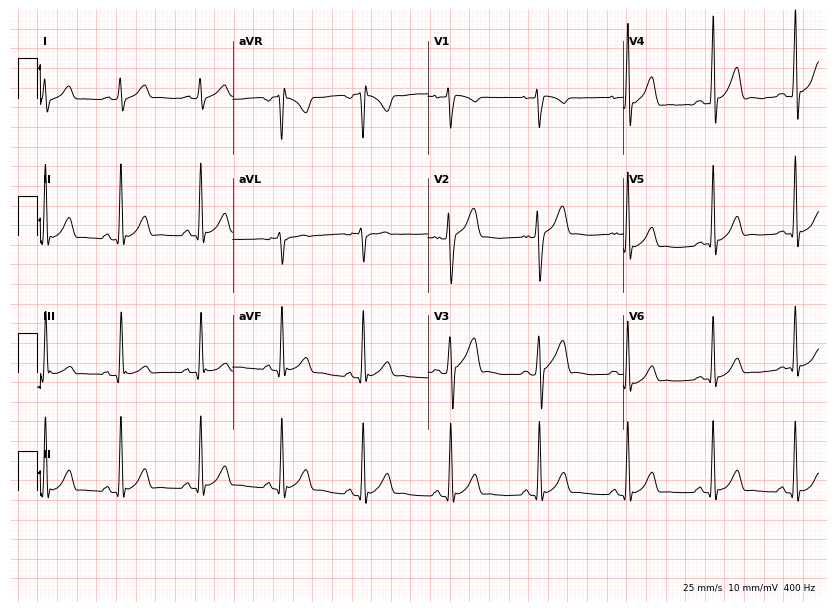
12-lead ECG from a male patient, 24 years old. Recorded interpretation: within normal limits.